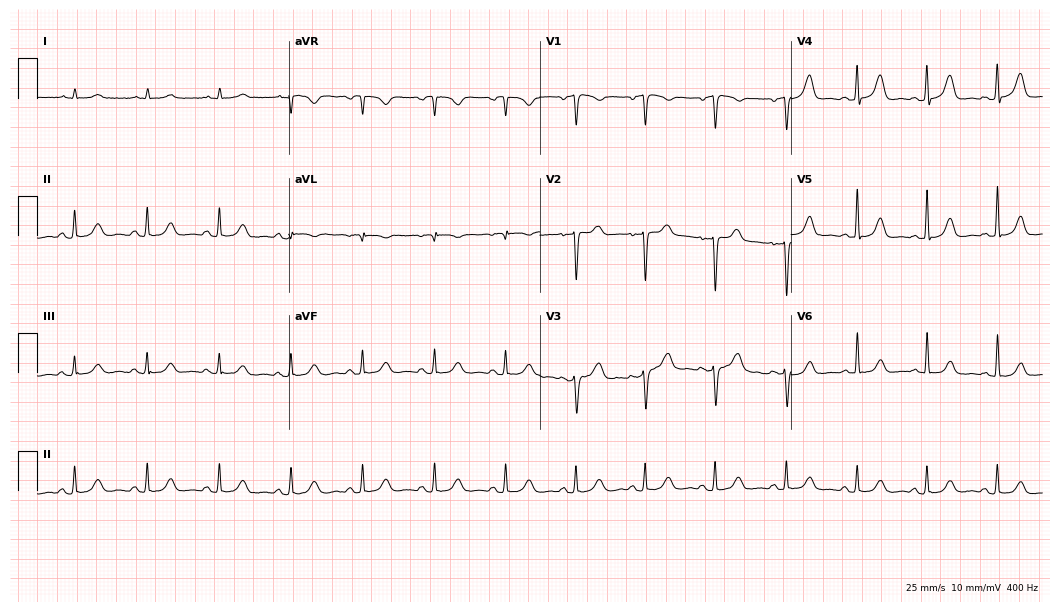
12-lead ECG from a 67-year-old female patient (10.2-second recording at 400 Hz). Recorded interpretation: within normal limits.